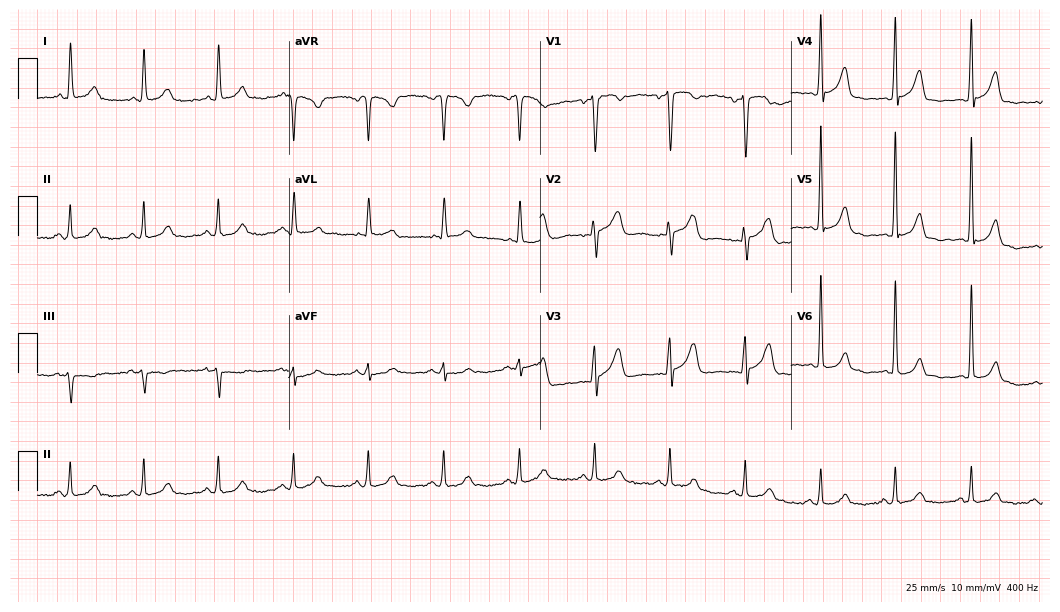
12-lead ECG from a 69-year-old female patient. Labelled as a normal ECG.